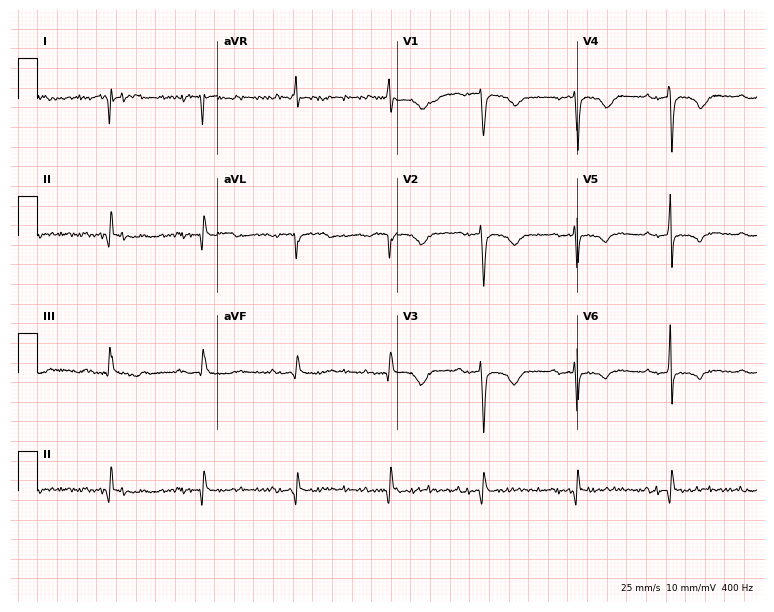
12-lead ECG (7.3-second recording at 400 Hz) from an 80-year-old man. Screened for six findings — first-degree AV block, right bundle branch block, left bundle branch block, sinus bradycardia, atrial fibrillation, sinus tachycardia — none is recorded. Other findings, if any, are not listed.